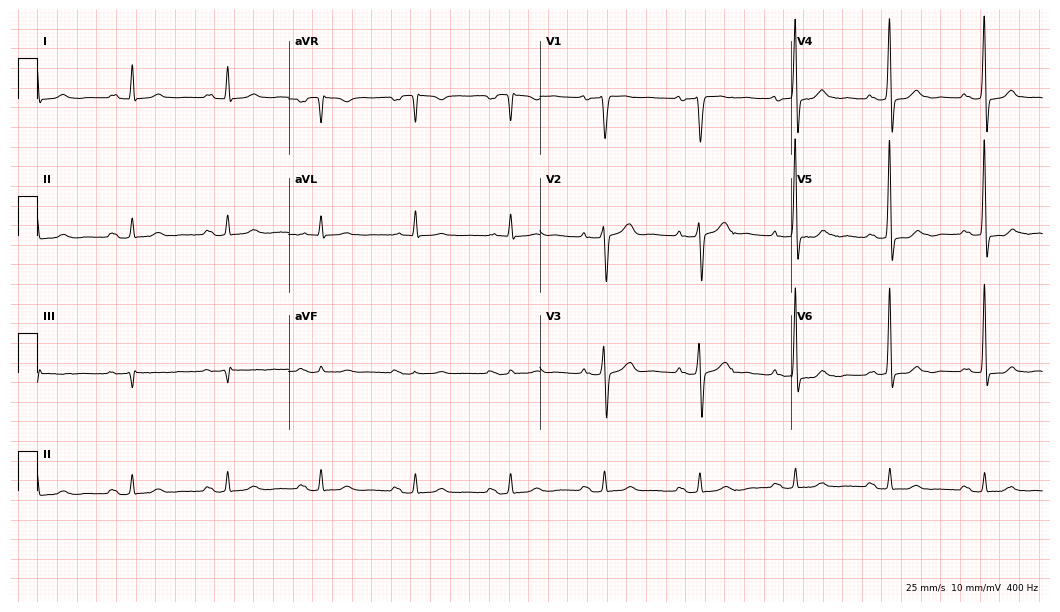
Standard 12-lead ECG recorded from a man, 63 years old (10.2-second recording at 400 Hz). The tracing shows first-degree AV block.